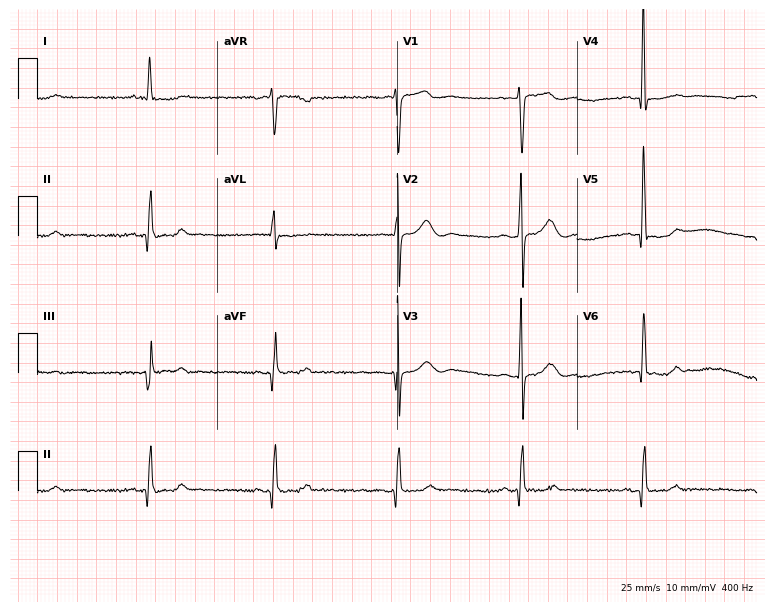
Resting 12-lead electrocardiogram (7.3-second recording at 400 Hz). Patient: a 62-year-old woman. Read as a normal ECG.